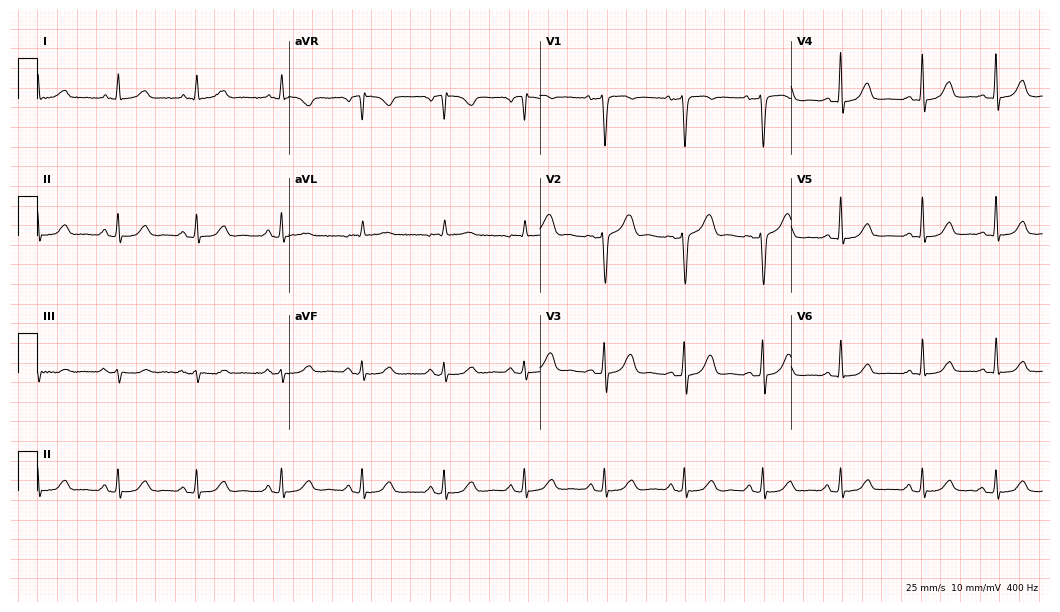
12-lead ECG (10.2-second recording at 400 Hz) from a woman, 62 years old. Labelled as a normal ECG.